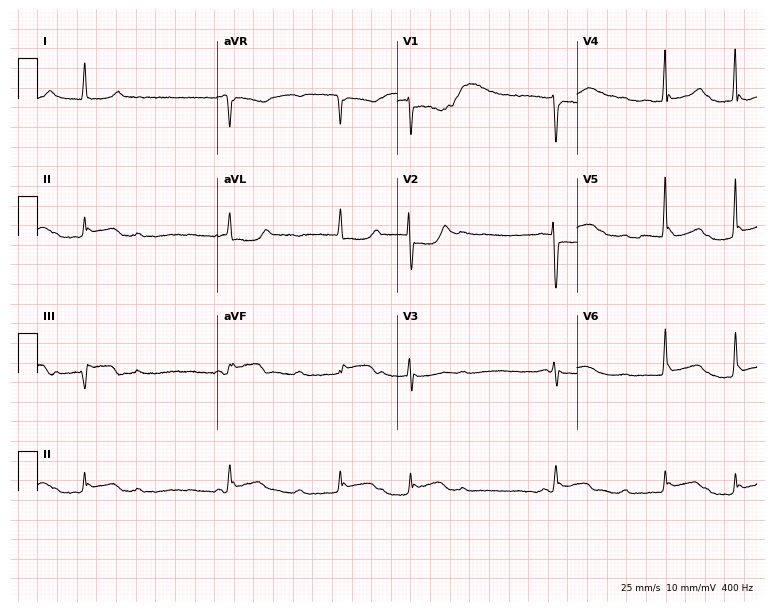
Resting 12-lead electrocardiogram (7.3-second recording at 400 Hz). Patient: a woman, 78 years old. None of these six findings is recorded: first-degree AV block, right bundle branch block, left bundle branch block, sinus bradycardia, atrial fibrillation, sinus tachycardia.